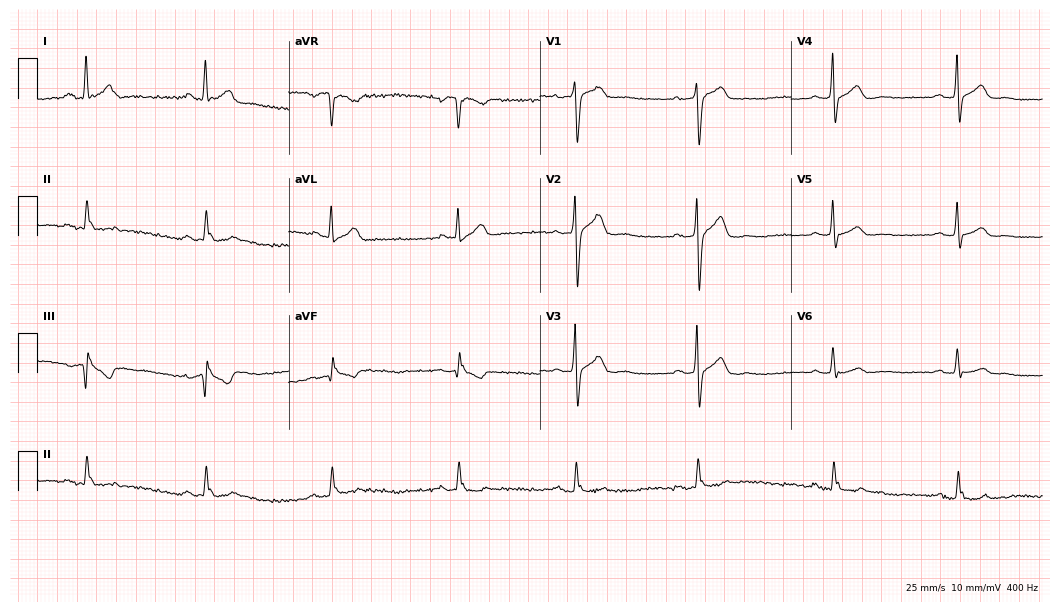
12-lead ECG from a male patient, 49 years old (10.2-second recording at 400 Hz). No first-degree AV block, right bundle branch block, left bundle branch block, sinus bradycardia, atrial fibrillation or sinus tachycardia recorded for this tracing.